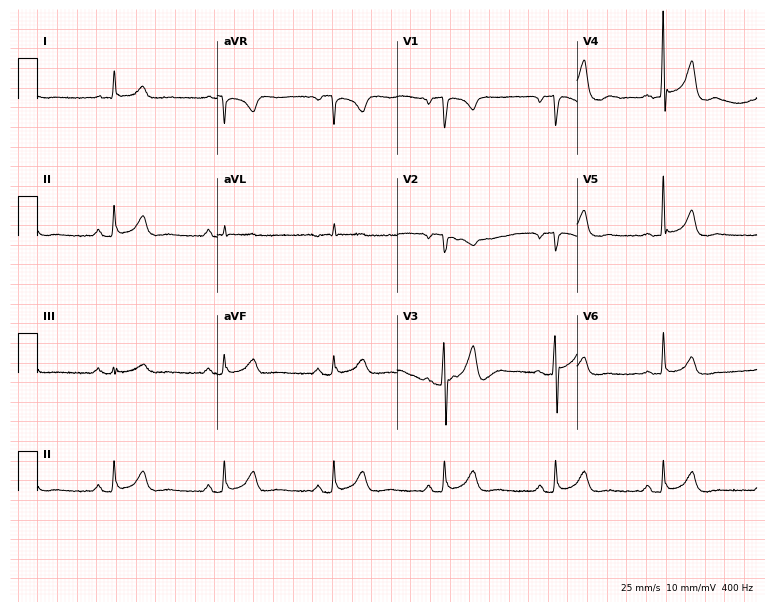
Electrocardiogram, a male, 71 years old. Overall reading on record: normal ECG.